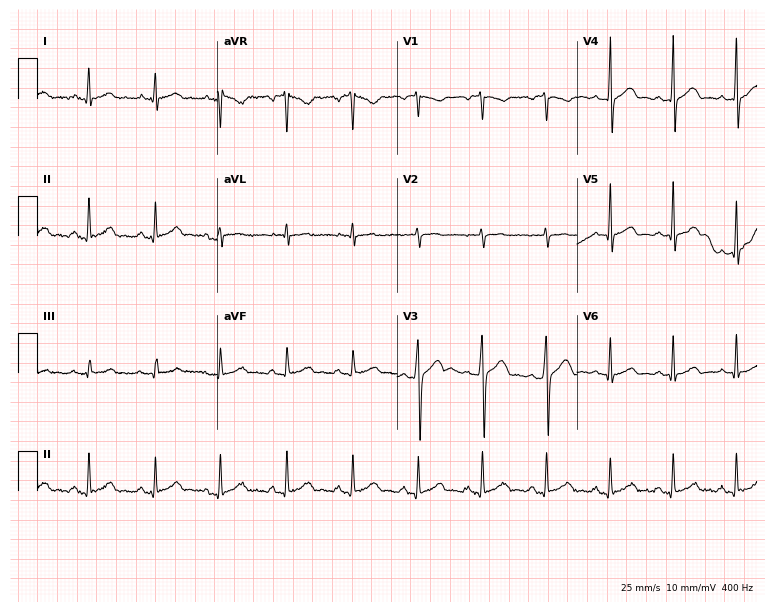
ECG — a 39-year-old male. Screened for six findings — first-degree AV block, right bundle branch block, left bundle branch block, sinus bradycardia, atrial fibrillation, sinus tachycardia — none is recorded. Findings outside these six are not listed.